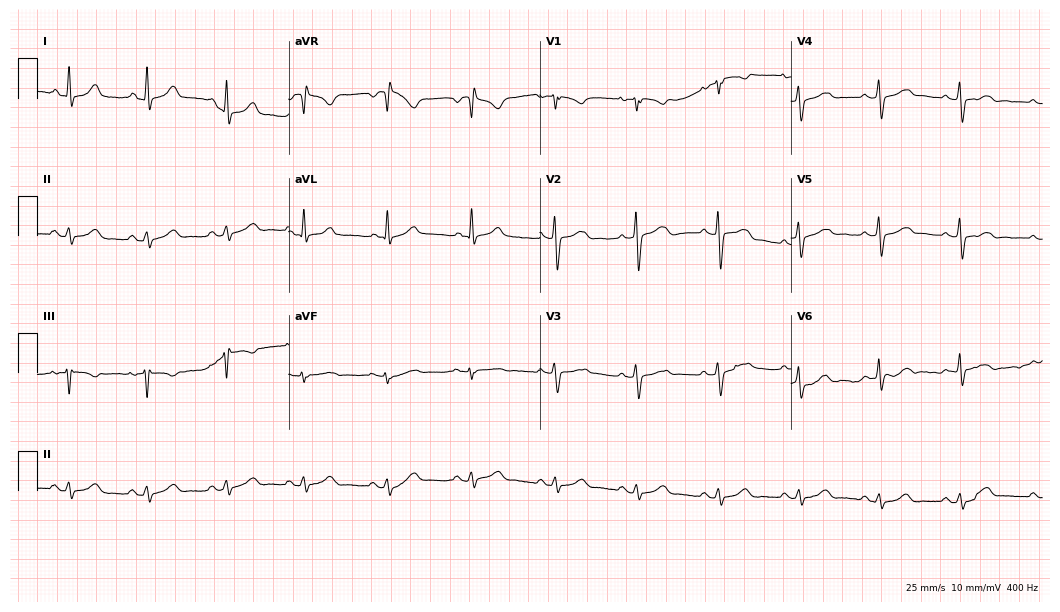
12-lead ECG (10.2-second recording at 400 Hz) from a 41-year-old female patient. Labelled as a normal ECG.